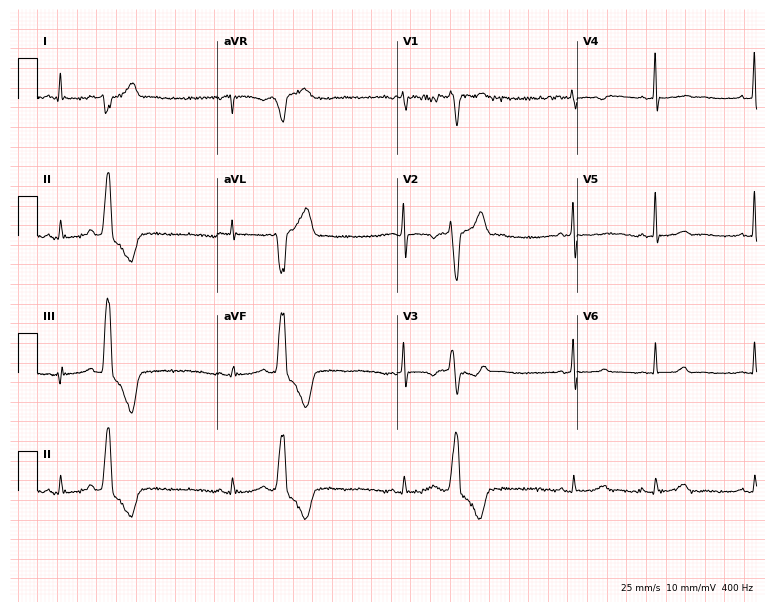
12-lead ECG (7.3-second recording at 400 Hz) from a 28-year-old female. Screened for six findings — first-degree AV block, right bundle branch block, left bundle branch block, sinus bradycardia, atrial fibrillation, sinus tachycardia — none is recorded.